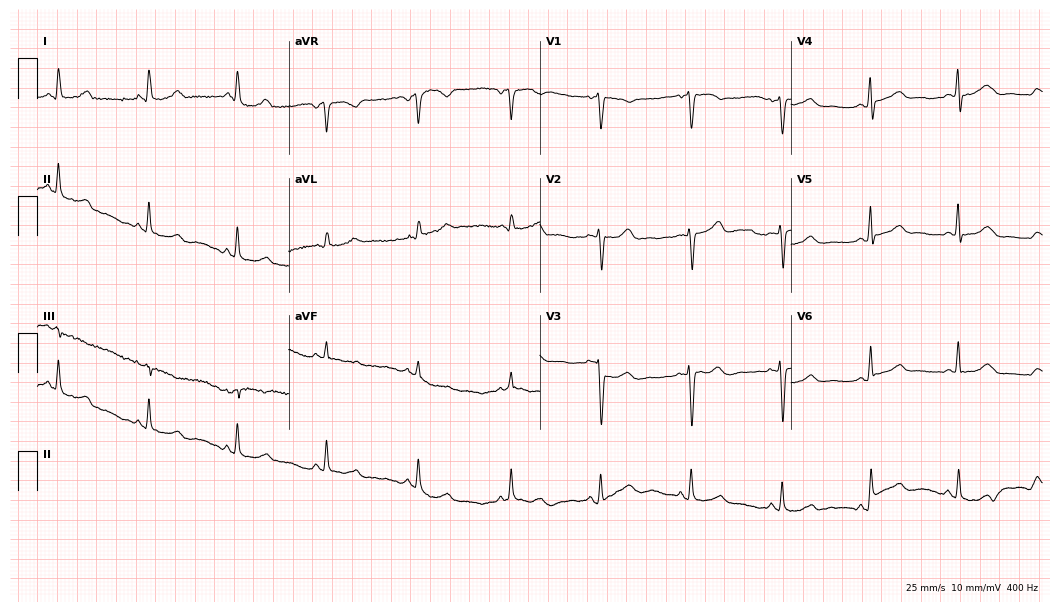
12-lead ECG (10.2-second recording at 400 Hz) from a 49-year-old female patient. Screened for six findings — first-degree AV block, right bundle branch block, left bundle branch block, sinus bradycardia, atrial fibrillation, sinus tachycardia — none is recorded. Other findings, if any, are not listed.